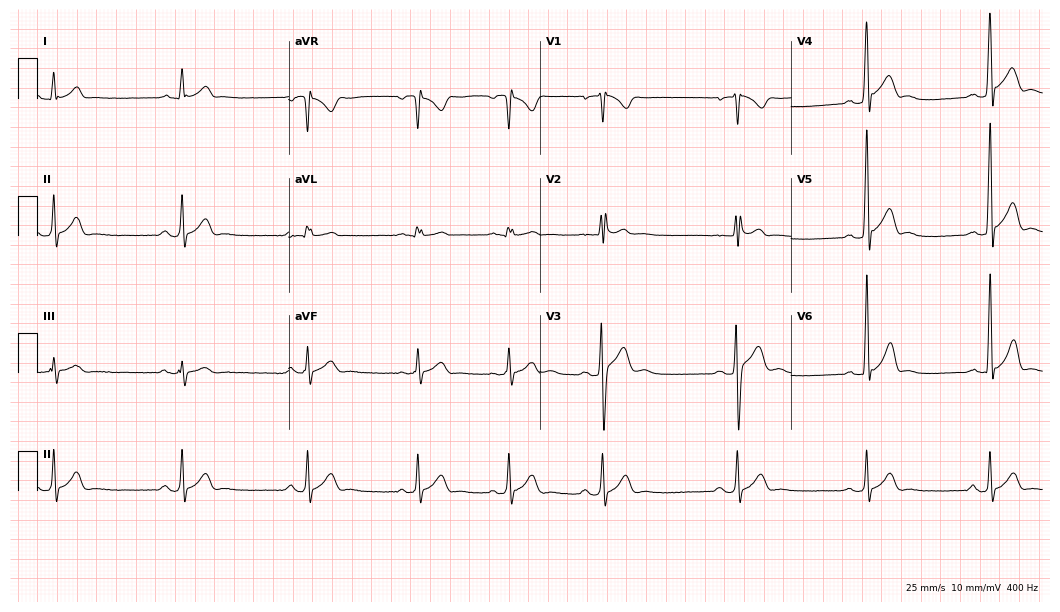
Resting 12-lead electrocardiogram. Patient: a 21-year-old male. The tracing shows sinus bradycardia (a sinus rate of 50 beats per minute or less).